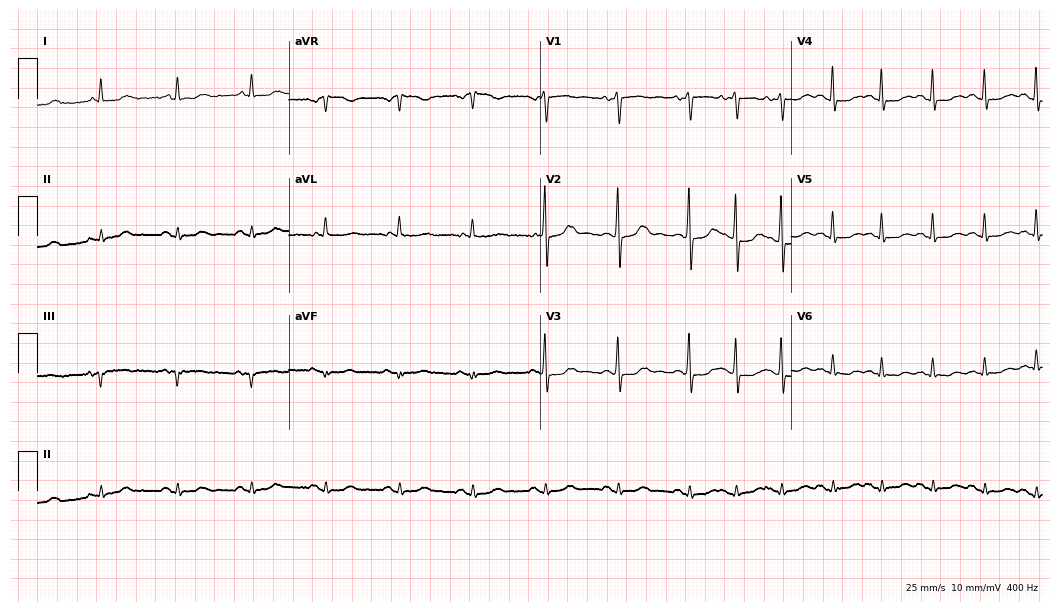
12-lead ECG from a female, 84 years old. Screened for six findings — first-degree AV block, right bundle branch block, left bundle branch block, sinus bradycardia, atrial fibrillation, sinus tachycardia — none is recorded.